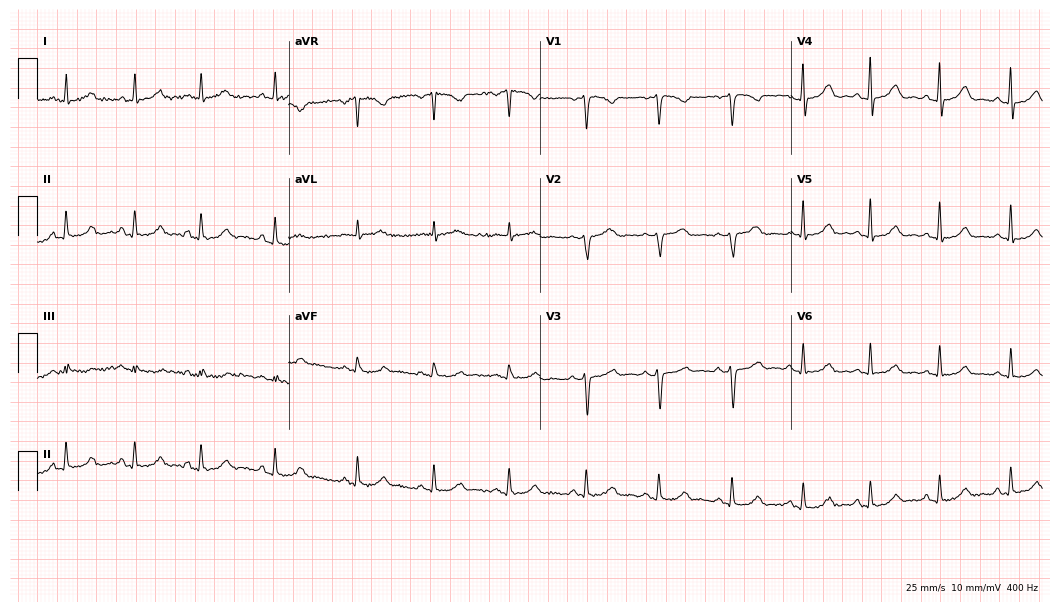
12-lead ECG from a female, 46 years old. Recorded interpretation: within normal limits.